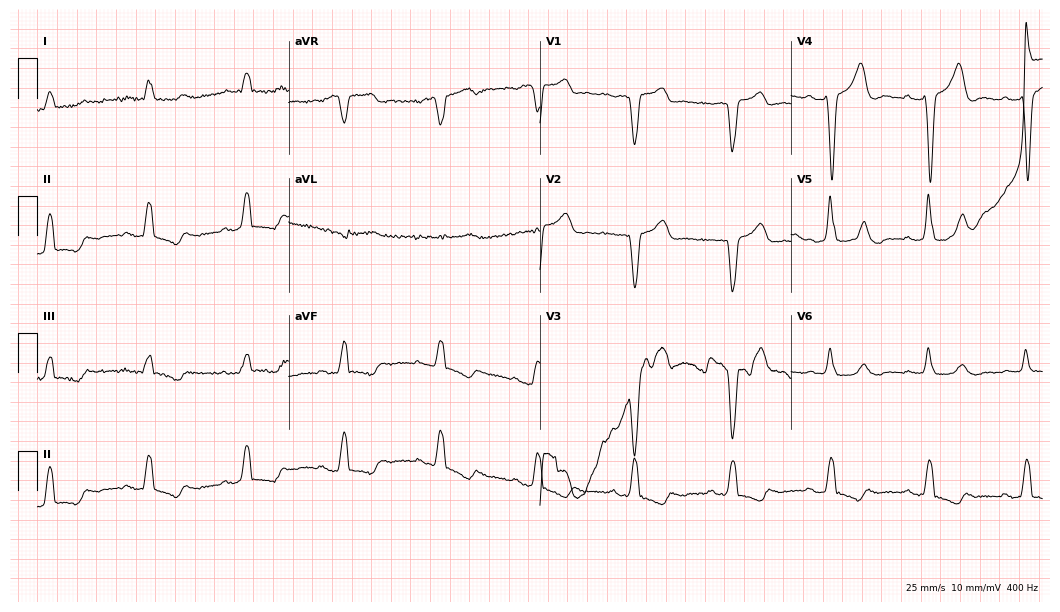
Standard 12-lead ECG recorded from a 79-year-old male patient (10.2-second recording at 400 Hz). The tracing shows left bundle branch block.